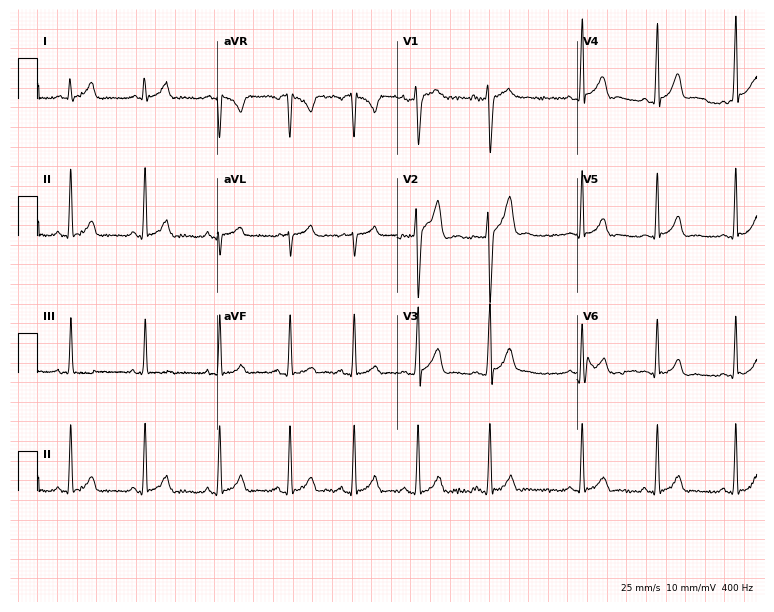
12-lead ECG from a male, 26 years old (7.3-second recording at 400 Hz). Recorded interpretation: within normal limits.